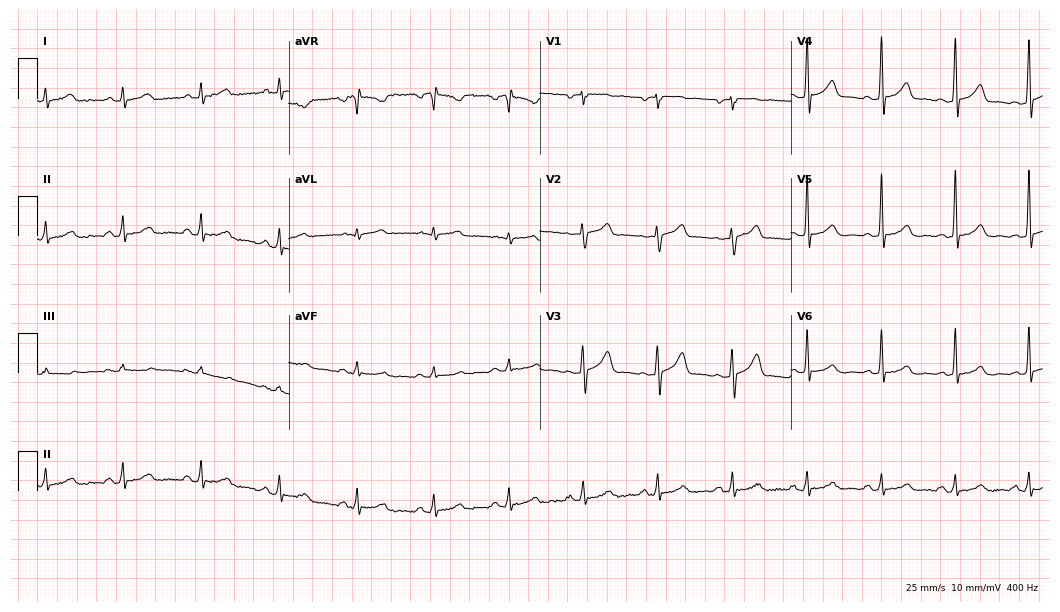
12-lead ECG (10.2-second recording at 400 Hz) from a 51-year-old man. Labelled as a normal ECG.